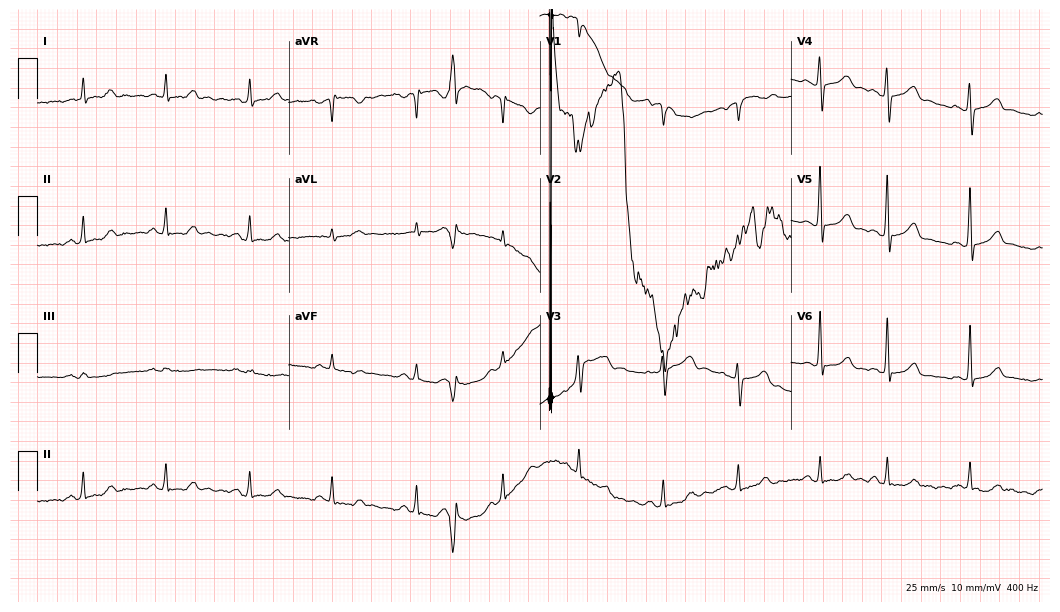
Standard 12-lead ECG recorded from a man, 63 years old. None of these six findings is recorded: first-degree AV block, right bundle branch block, left bundle branch block, sinus bradycardia, atrial fibrillation, sinus tachycardia.